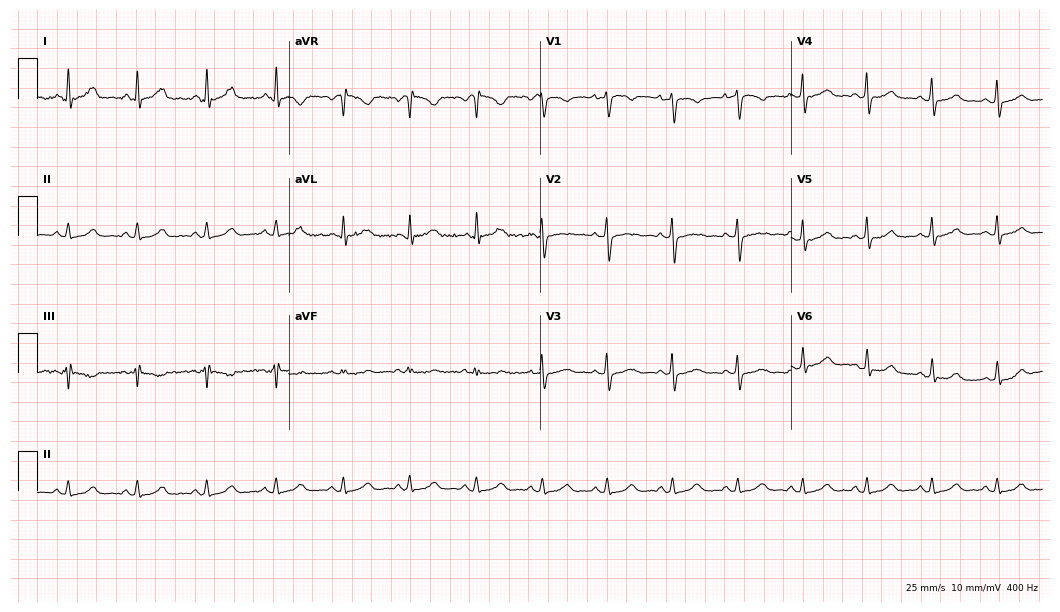
Resting 12-lead electrocardiogram. Patient: a female, 34 years old. Read as a normal ECG.